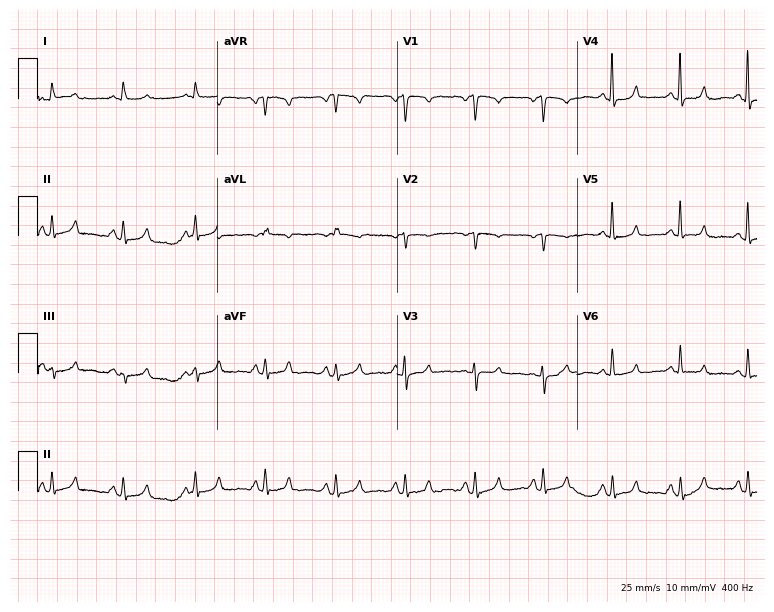
Standard 12-lead ECG recorded from a 65-year-old female (7.3-second recording at 400 Hz). None of these six findings is recorded: first-degree AV block, right bundle branch block (RBBB), left bundle branch block (LBBB), sinus bradycardia, atrial fibrillation (AF), sinus tachycardia.